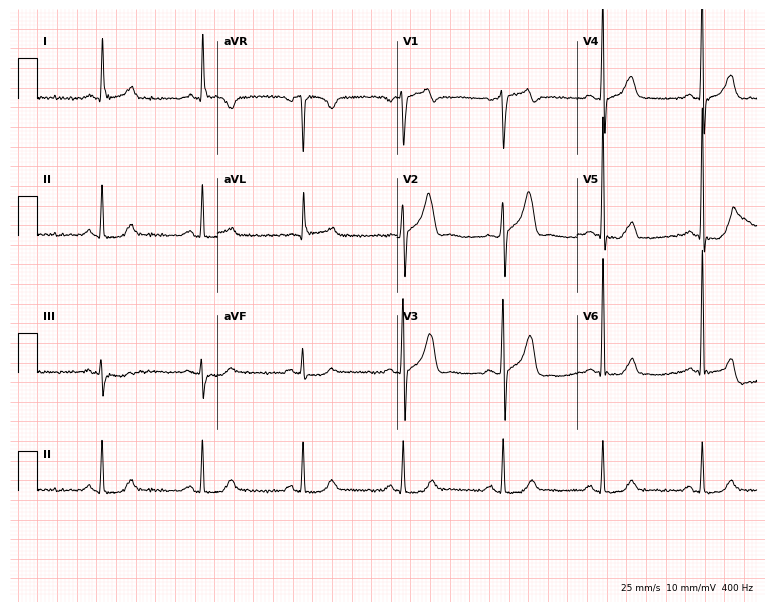
Standard 12-lead ECG recorded from a male patient, 66 years old. None of these six findings is recorded: first-degree AV block, right bundle branch block, left bundle branch block, sinus bradycardia, atrial fibrillation, sinus tachycardia. Only these six findings were labelled.